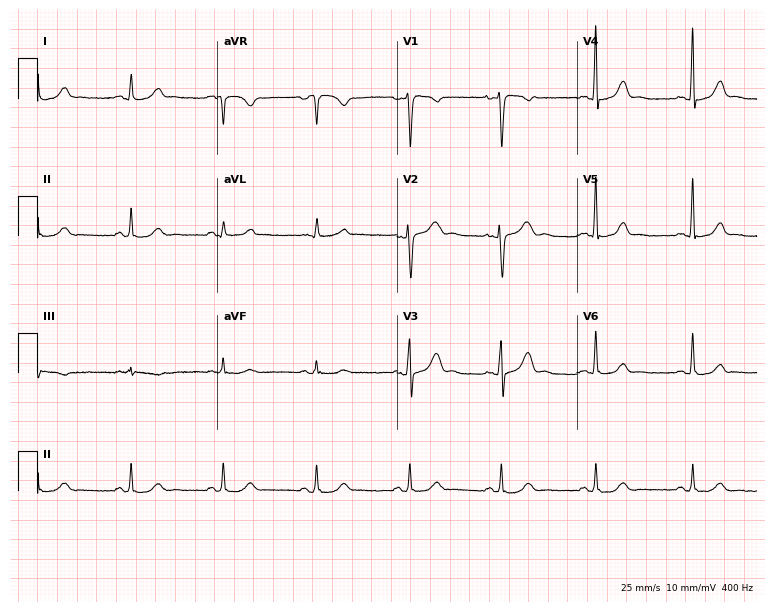
Standard 12-lead ECG recorded from a female patient, 51 years old. Read as a normal ECG.